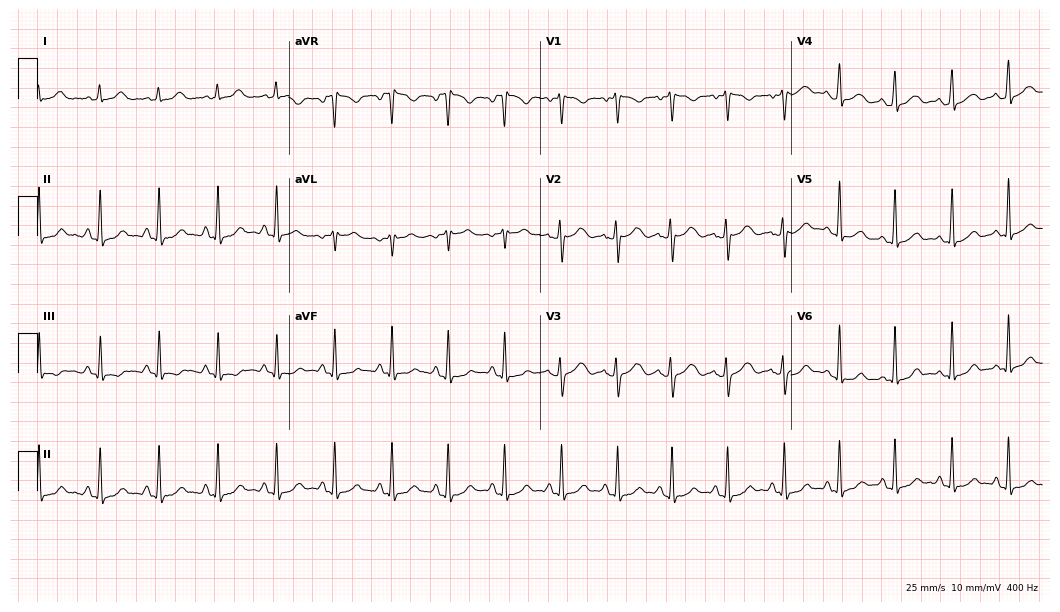
Standard 12-lead ECG recorded from a female, 26 years old. None of these six findings is recorded: first-degree AV block, right bundle branch block, left bundle branch block, sinus bradycardia, atrial fibrillation, sinus tachycardia.